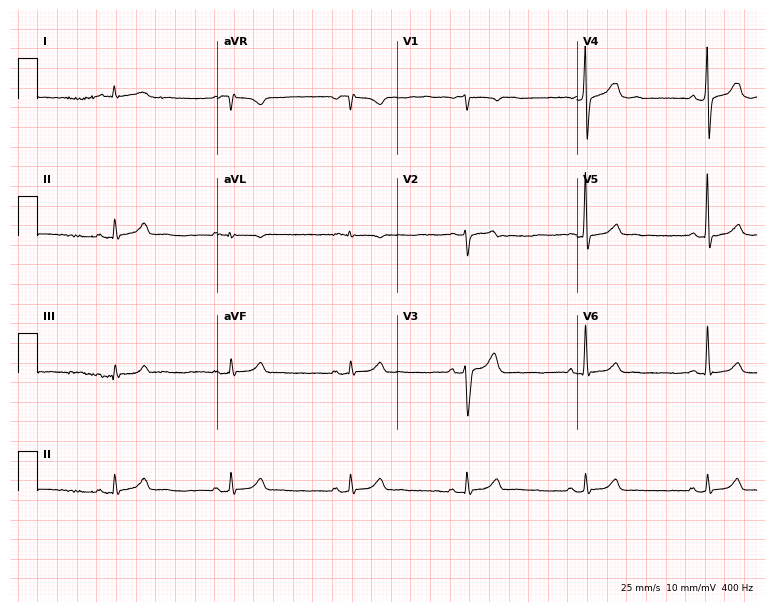
Resting 12-lead electrocardiogram (7.3-second recording at 400 Hz). Patient: a 61-year-old male. The tracing shows sinus bradycardia (a sinus rate of 50 beats per minute or less).